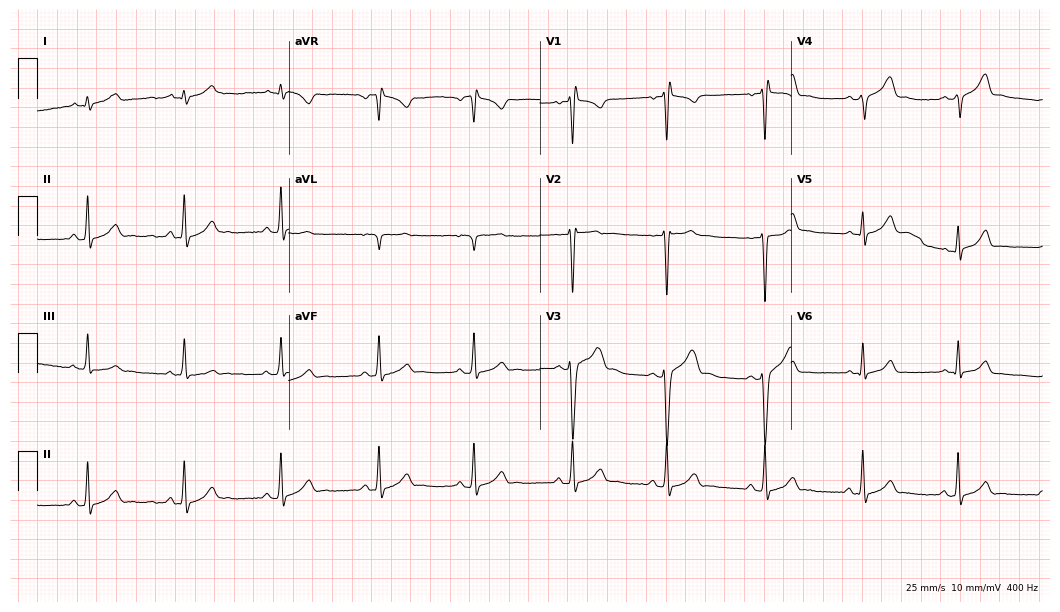
12-lead ECG from a 19-year-old male. Screened for six findings — first-degree AV block, right bundle branch block (RBBB), left bundle branch block (LBBB), sinus bradycardia, atrial fibrillation (AF), sinus tachycardia — none is recorded.